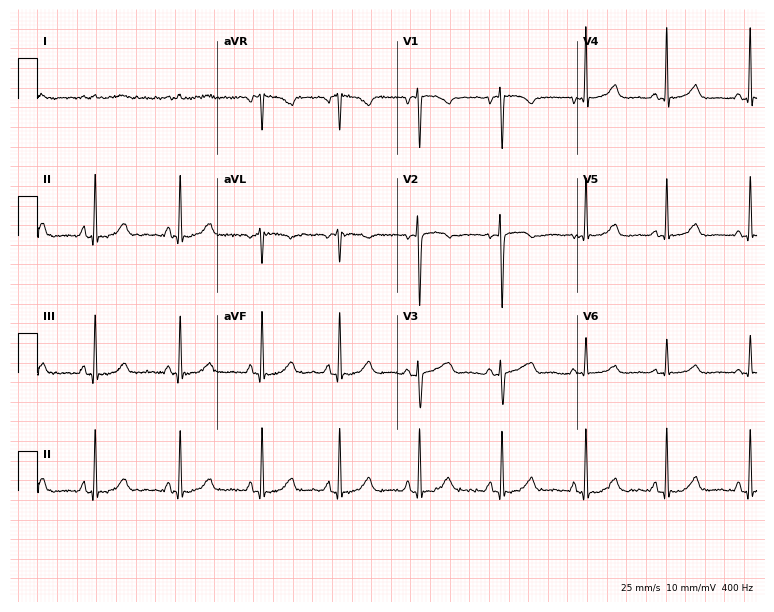
Electrocardiogram, a 38-year-old female. Overall reading on record: normal ECG.